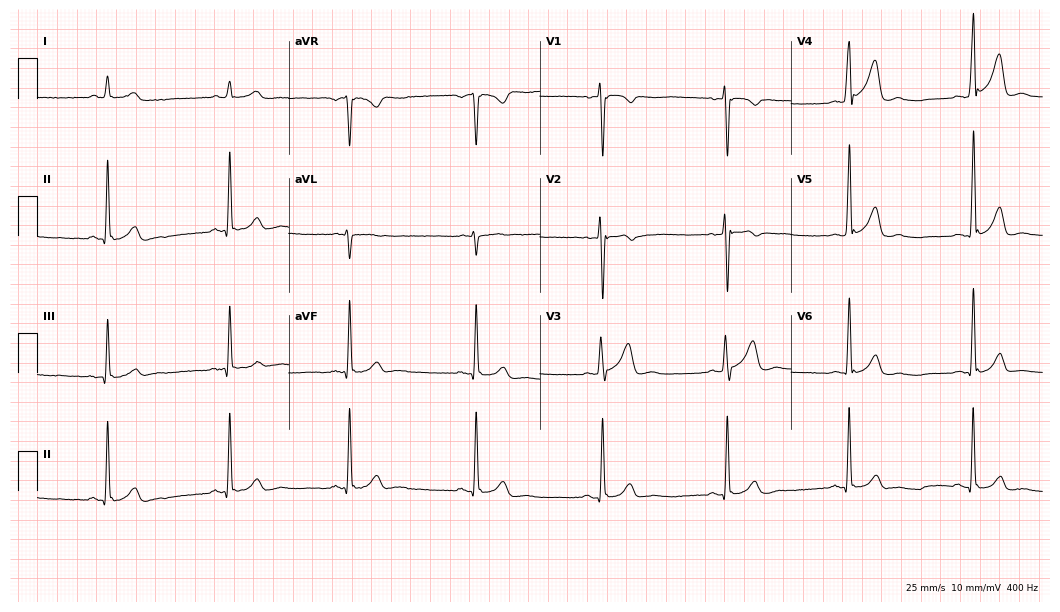
Electrocardiogram (10.2-second recording at 400 Hz), a male, 43 years old. Interpretation includes sinus bradycardia (a sinus rate of 50 beats per minute or less).